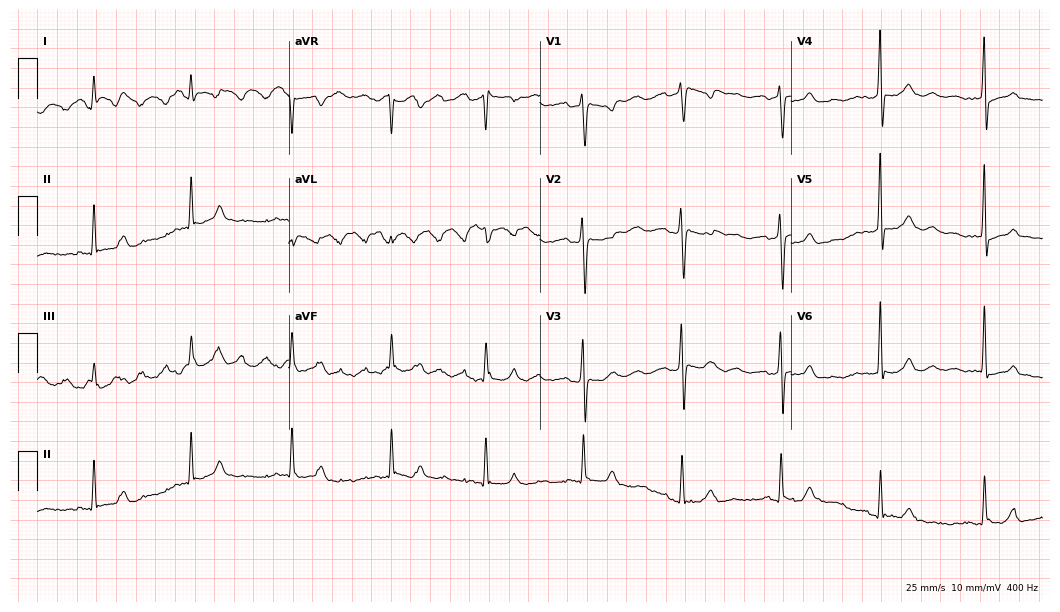
12-lead ECG (10.2-second recording at 400 Hz) from a woman, 75 years old. Screened for six findings — first-degree AV block, right bundle branch block, left bundle branch block, sinus bradycardia, atrial fibrillation, sinus tachycardia — none is recorded. Only these six findings were labelled.